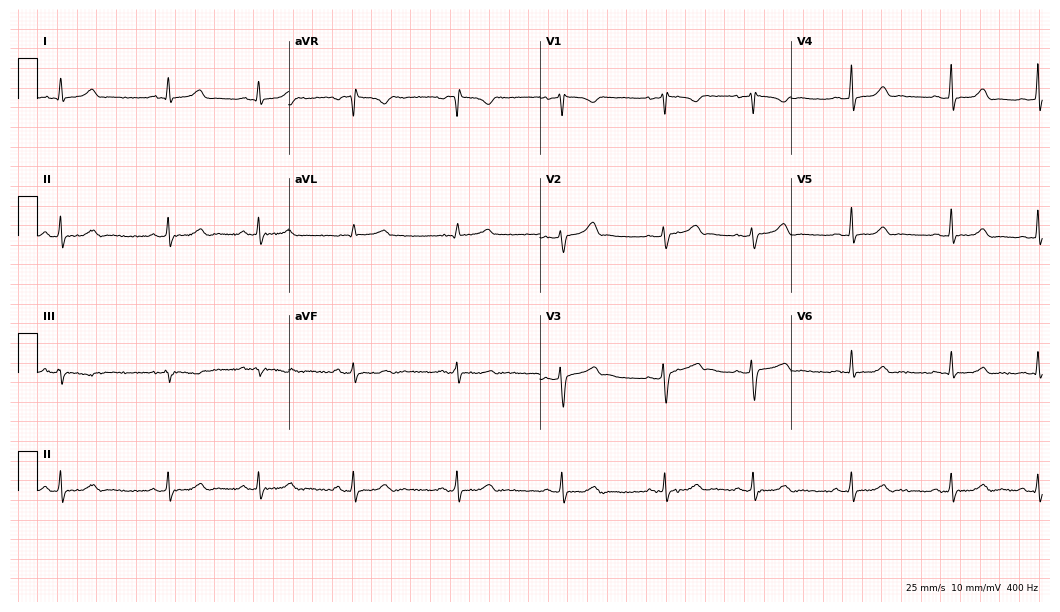
12-lead ECG (10.2-second recording at 400 Hz) from a female, 21 years old. Labelled as a normal ECG.